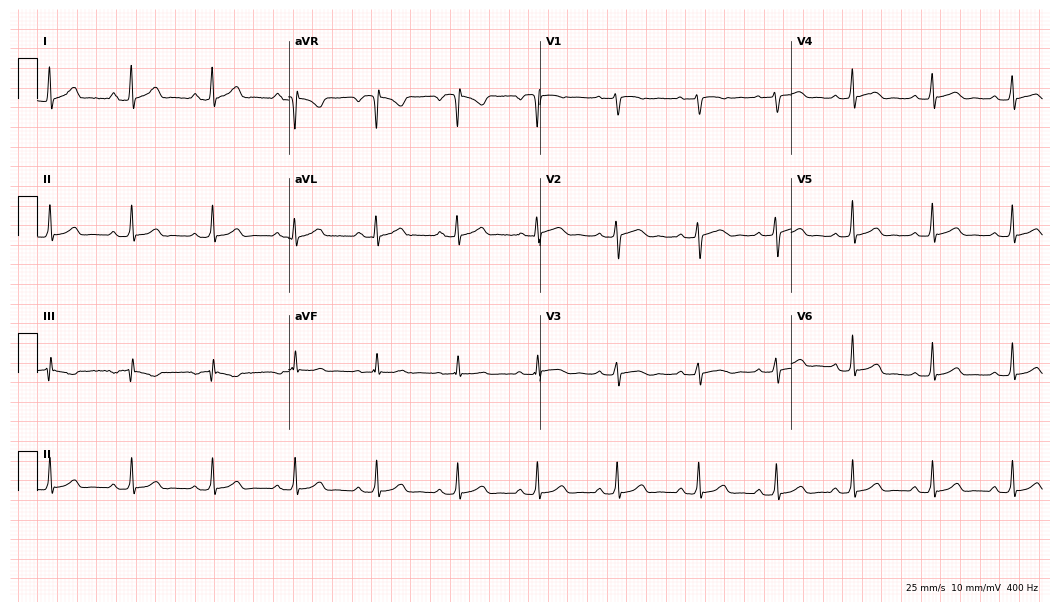
Standard 12-lead ECG recorded from a 21-year-old female. None of these six findings is recorded: first-degree AV block, right bundle branch block, left bundle branch block, sinus bradycardia, atrial fibrillation, sinus tachycardia. Other findings, if any, are not listed.